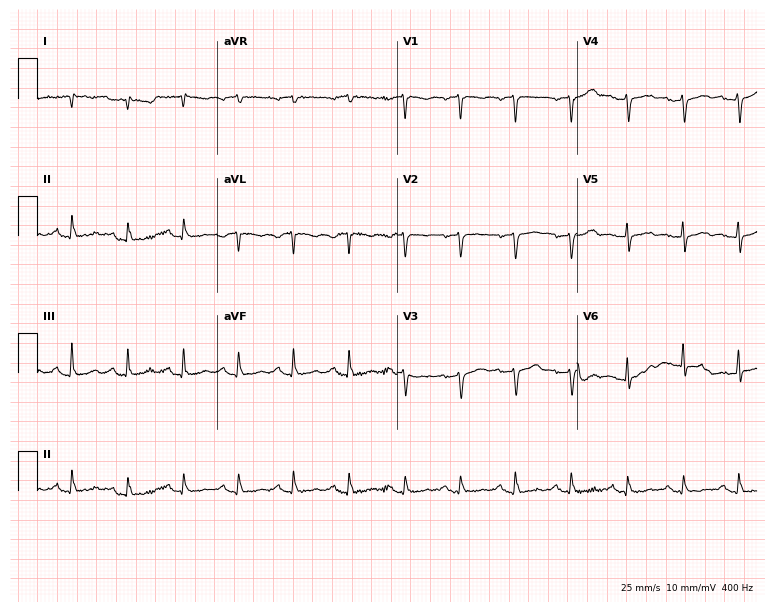
12-lead ECG from a male, 69 years old. Shows sinus tachycardia (a sinus rate of 100 beats per minute or more).